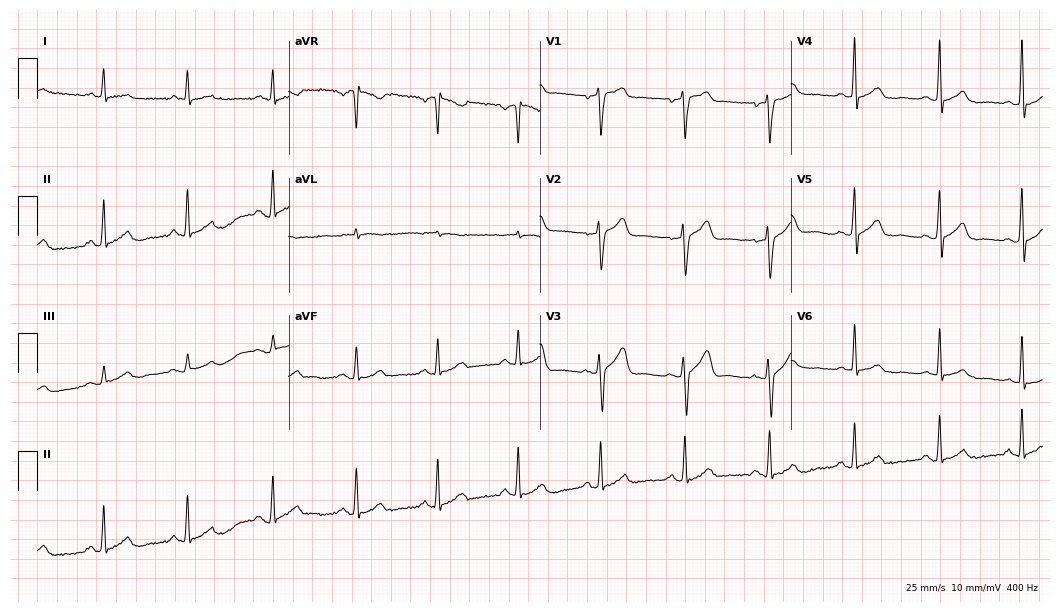
12-lead ECG from a man, 66 years old. No first-degree AV block, right bundle branch block, left bundle branch block, sinus bradycardia, atrial fibrillation or sinus tachycardia recorded for this tracing. Other findings, if any, are not listed.